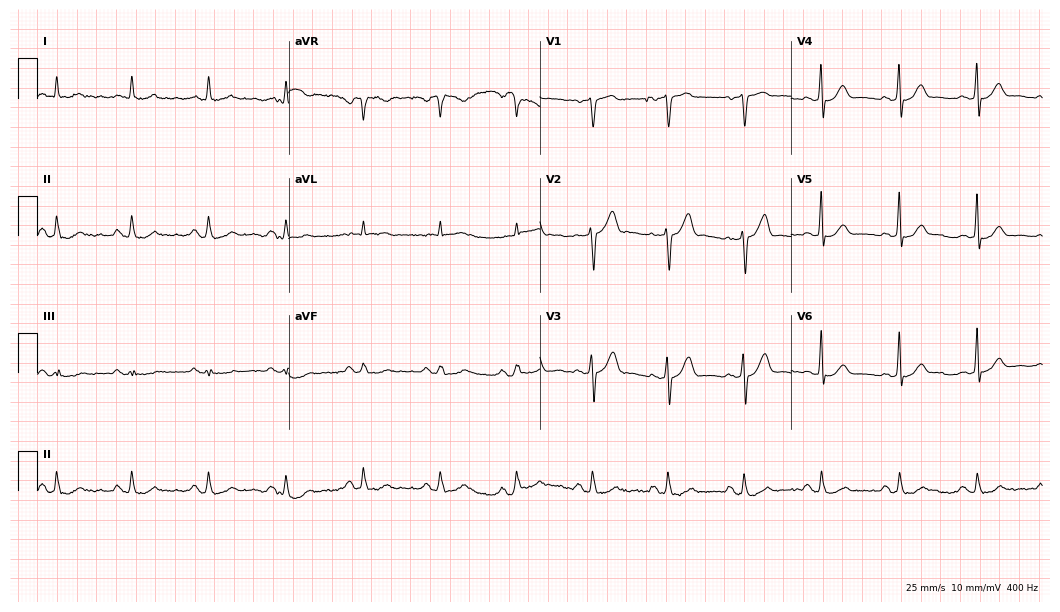
12-lead ECG from an 85-year-old man. Recorded interpretation: within normal limits.